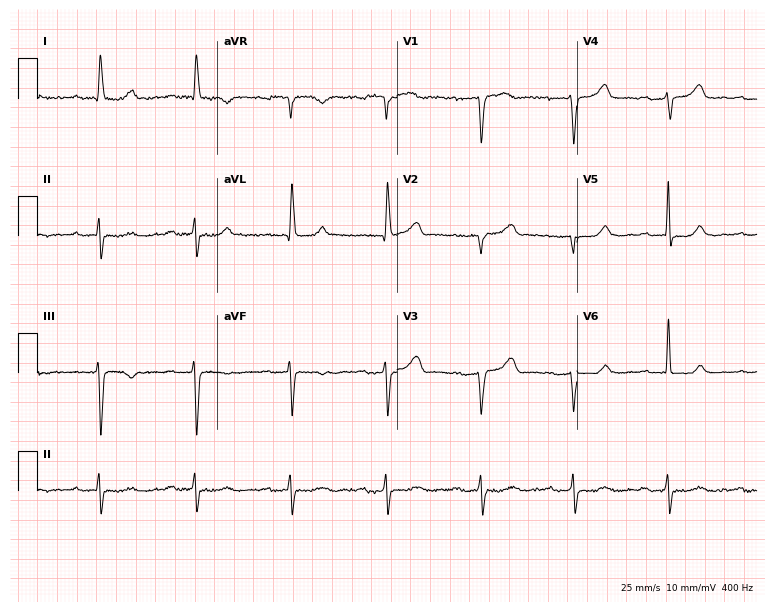
12-lead ECG from a 70-year-old woman. Recorded interpretation: within normal limits.